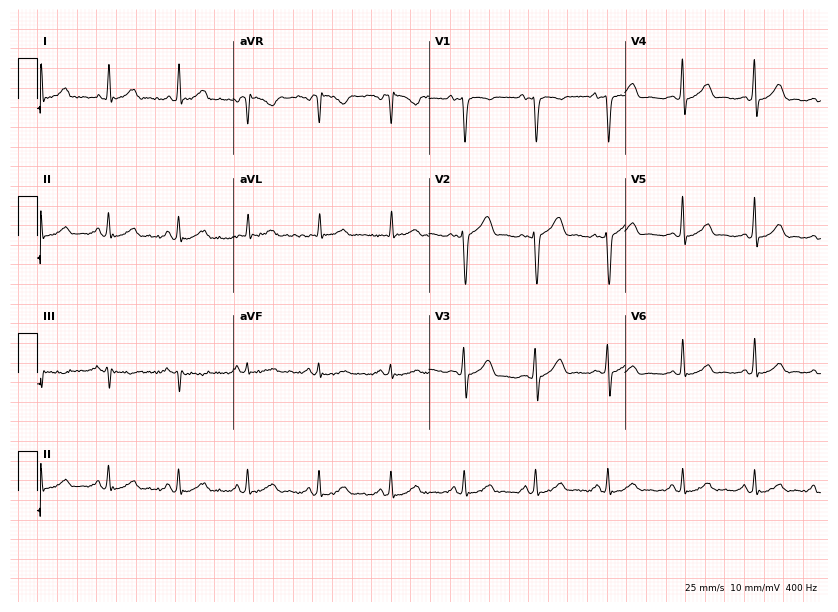
Electrocardiogram, a female patient, 44 years old. Of the six screened findings (first-degree AV block, right bundle branch block (RBBB), left bundle branch block (LBBB), sinus bradycardia, atrial fibrillation (AF), sinus tachycardia), none is recorded.